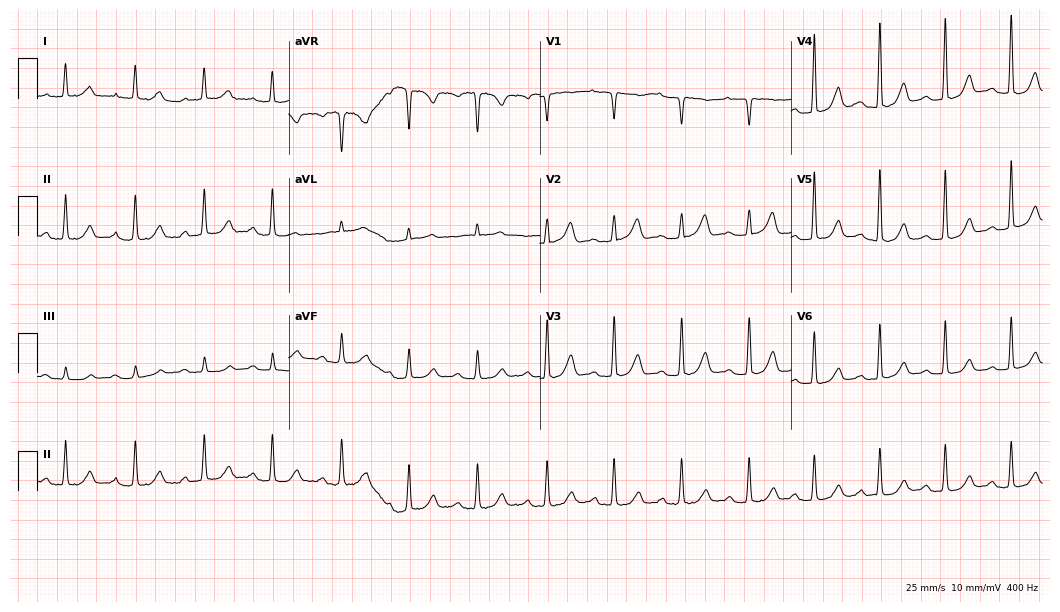
12-lead ECG from a female patient, 67 years old (10.2-second recording at 400 Hz). Shows first-degree AV block.